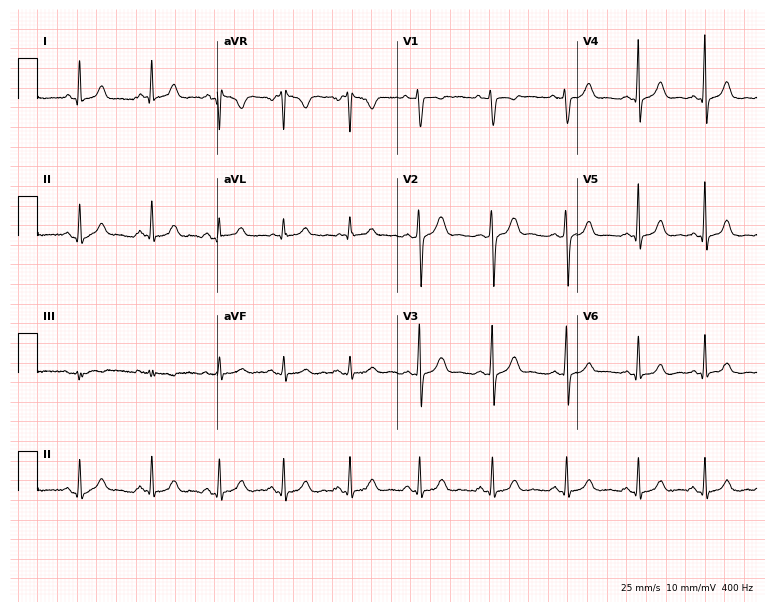
12-lead ECG from a woman, 20 years old. Screened for six findings — first-degree AV block, right bundle branch block (RBBB), left bundle branch block (LBBB), sinus bradycardia, atrial fibrillation (AF), sinus tachycardia — none is recorded. Other findings, if any, are not listed.